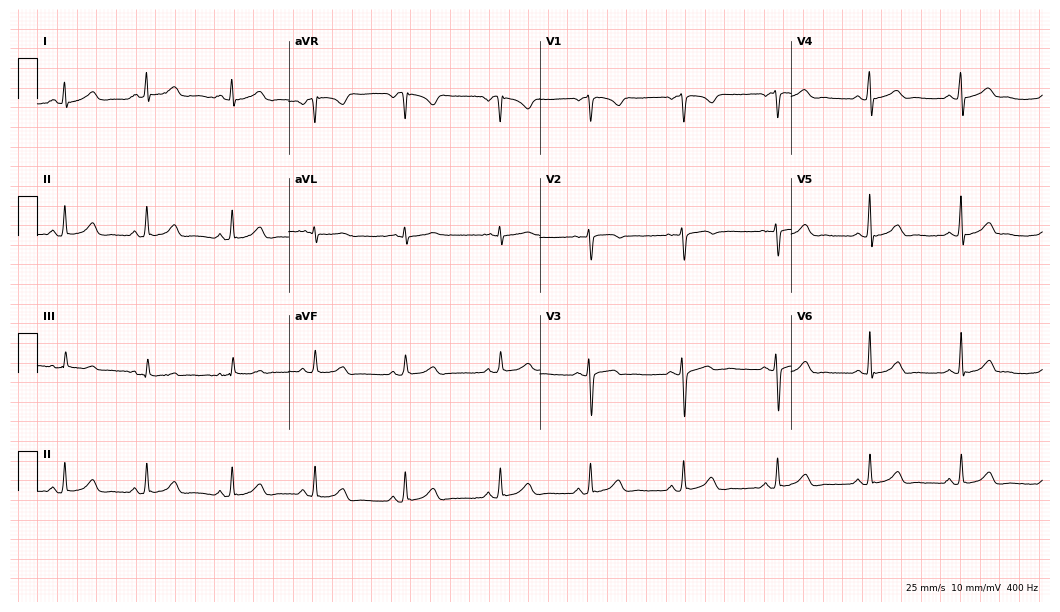
12-lead ECG from a 19-year-old woman (10.2-second recording at 400 Hz). Recorded interpretation: within normal limits.